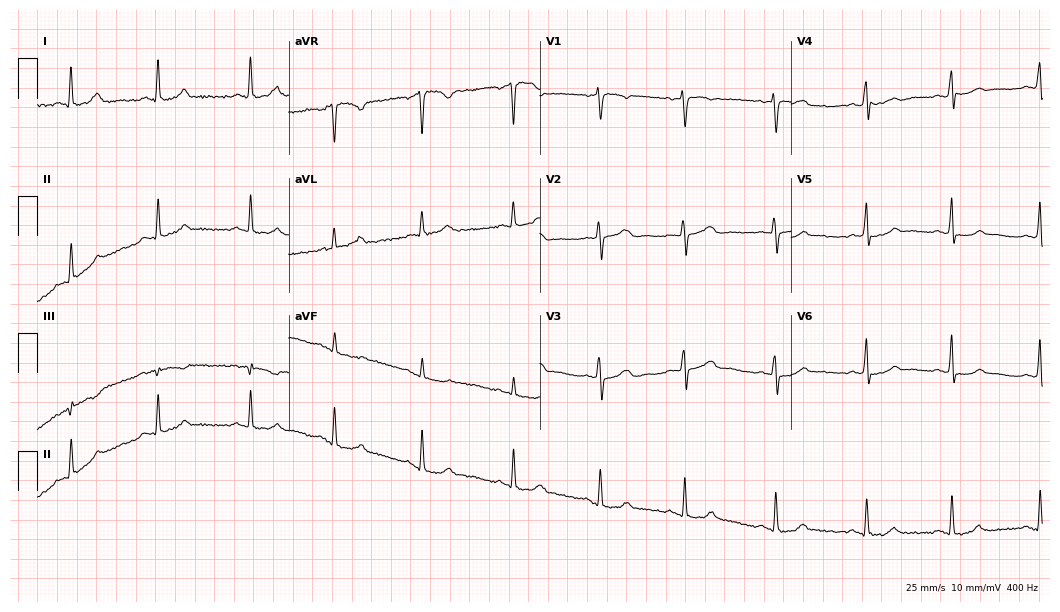
12-lead ECG from a female patient, 59 years old. Labelled as a normal ECG.